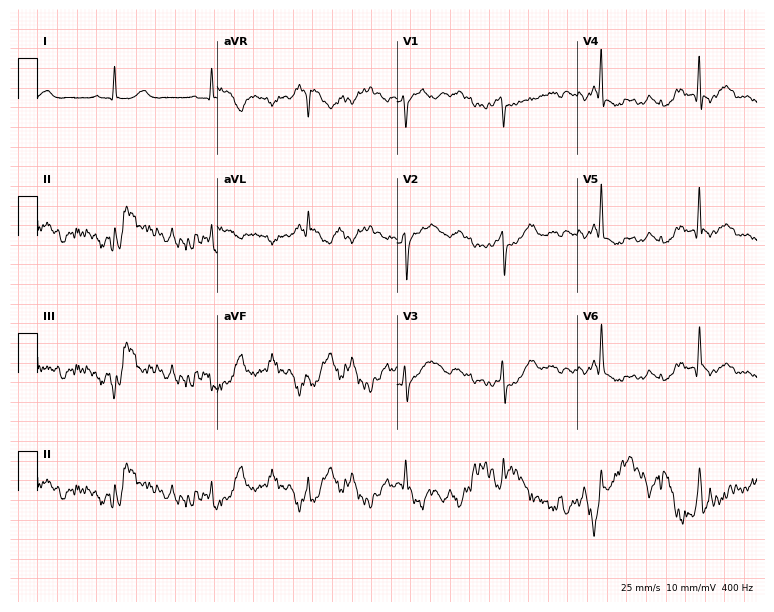
12-lead ECG from a 70-year-old male. Screened for six findings — first-degree AV block, right bundle branch block (RBBB), left bundle branch block (LBBB), sinus bradycardia, atrial fibrillation (AF), sinus tachycardia — none is recorded. Other findings, if any, are not listed.